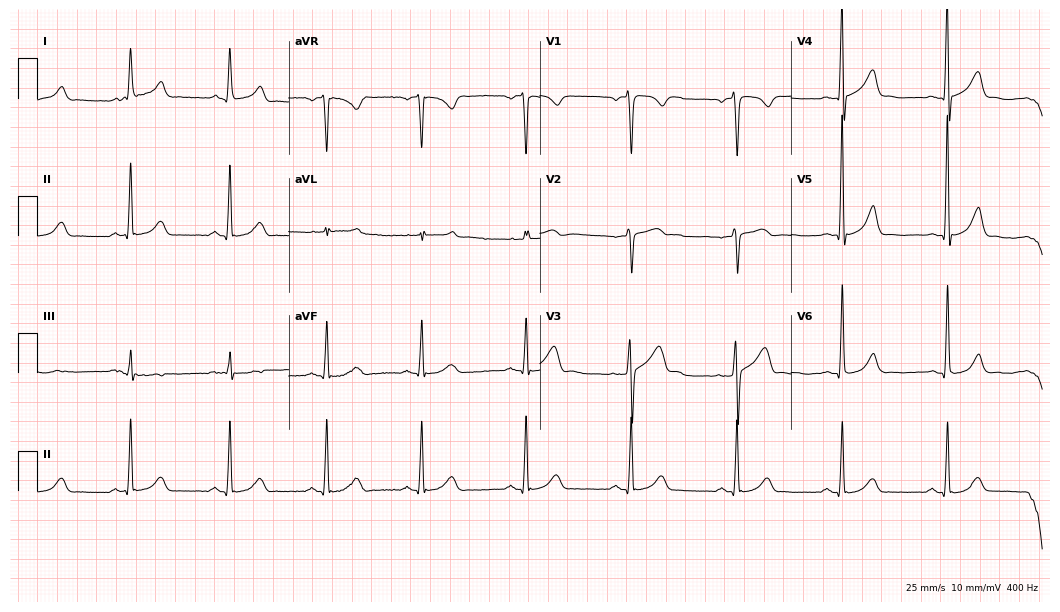
12-lead ECG from a 77-year-old male. Recorded interpretation: within normal limits.